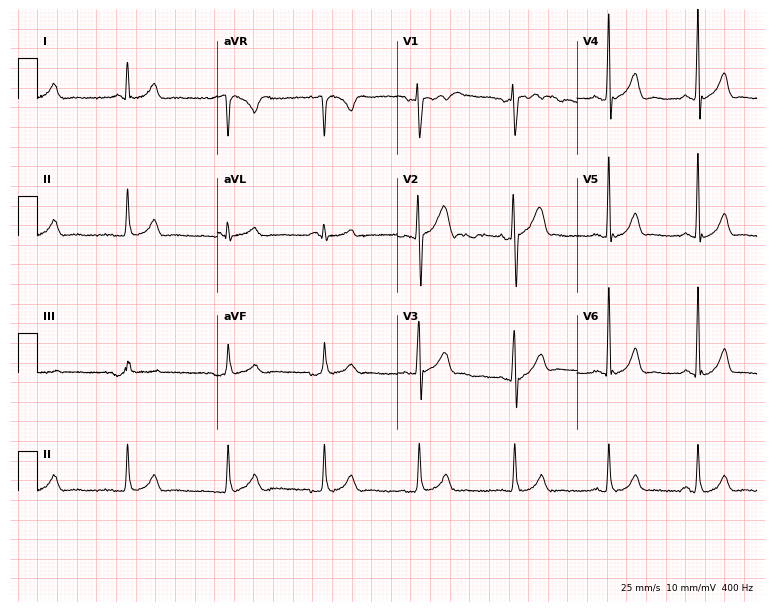
12-lead ECG from a man, 47 years old (7.3-second recording at 400 Hz). No first-degree AV block, right bundle branch block (RBBB), left bundle branch block (LBBB), sinus bradycardia, atrial fibrillation (AF) or sinus tachycardia recorded for this tracing.